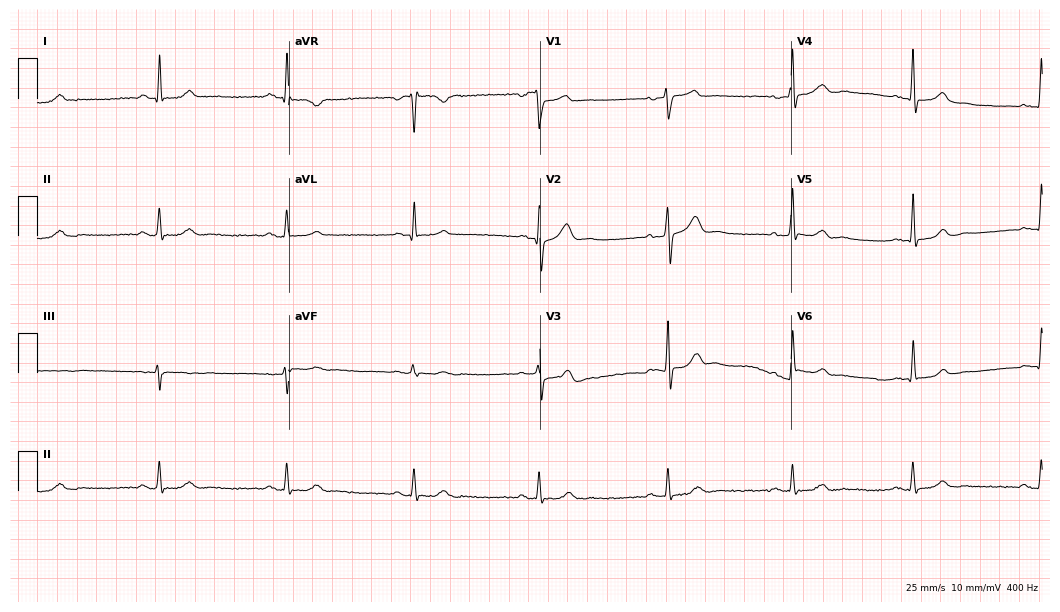
Resting 12-lead electrocardiogram. Patient: a female, 52 years old. The tracing shows sinus bradycardia (a sinus rate of 50 beats per minute or less).